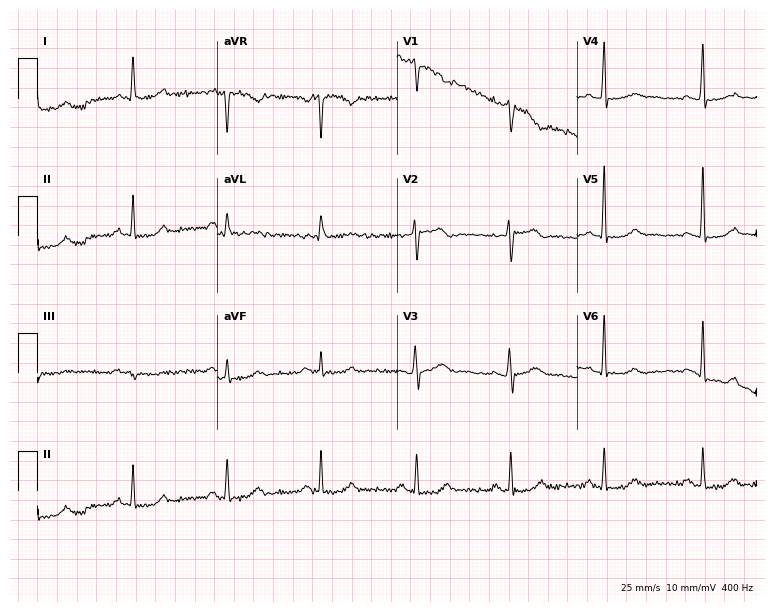
12-lead ECG from a female patient, 55 years old (7.3-second recording at 400 Hz). No first-degree AV block, right bundle branch block, left bundle branch block, sinus bradycardia, atrial fibrillation or sinus tachycardia recorded for this tracing. Findings outside these six are not listed.